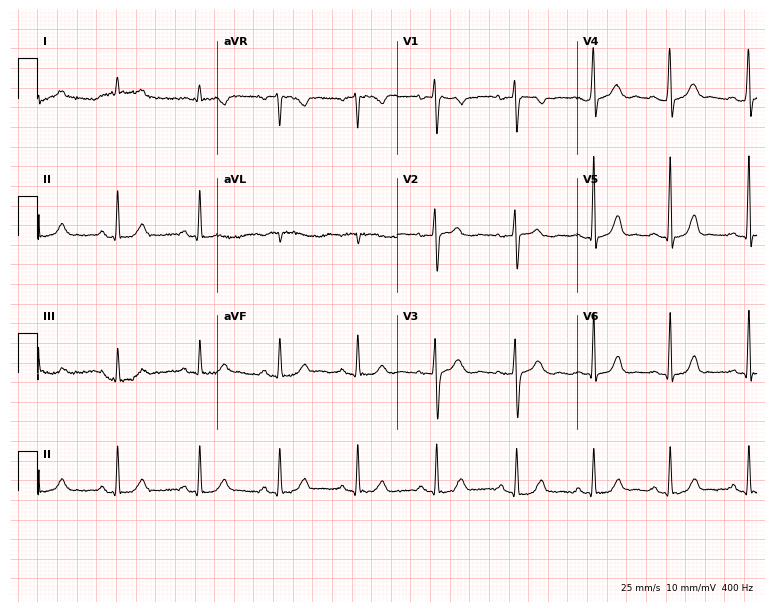
12-lead ECG (7.3-second recording at 400 Hz) from a woman, 43 years old. Labelled as a normal ECG.